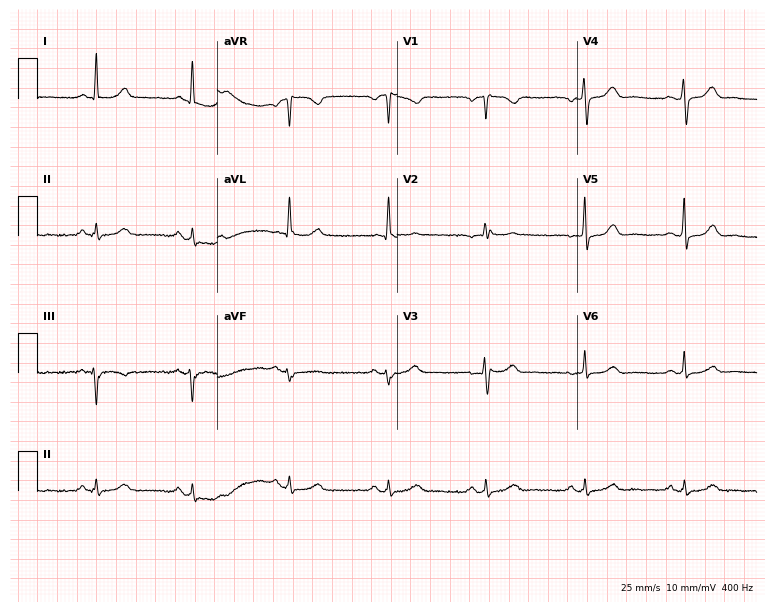
Standard 12-lead ECG recorded from a 61-year-old female (7.3-second recording at 400 Hz). Read as a normal ECG.